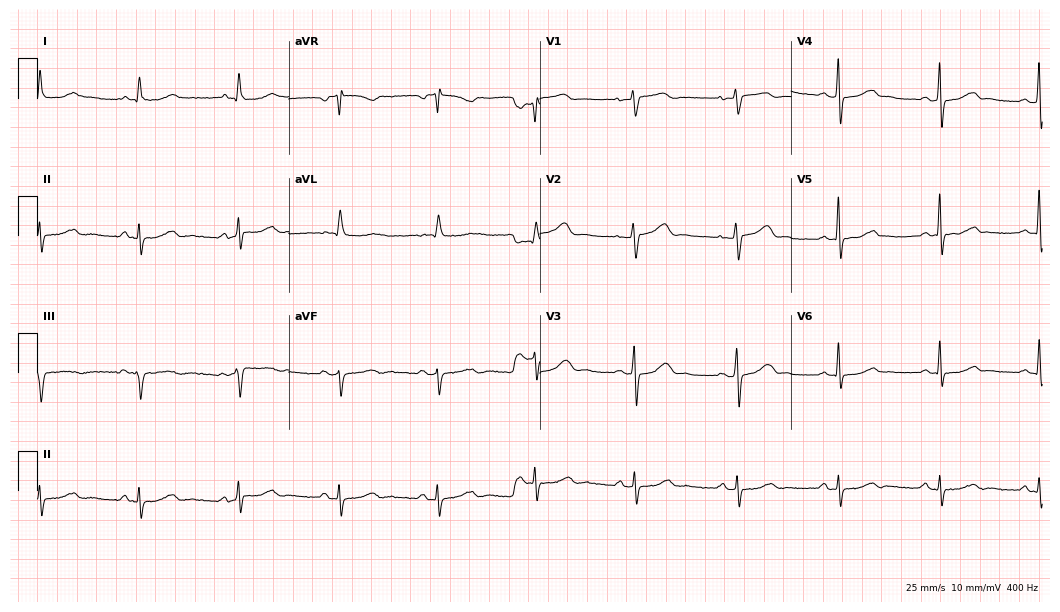
12-lead ECG (10.2-second recording at 400 Hz) from a woman, 54 years old. Labelled as a normal ECG.